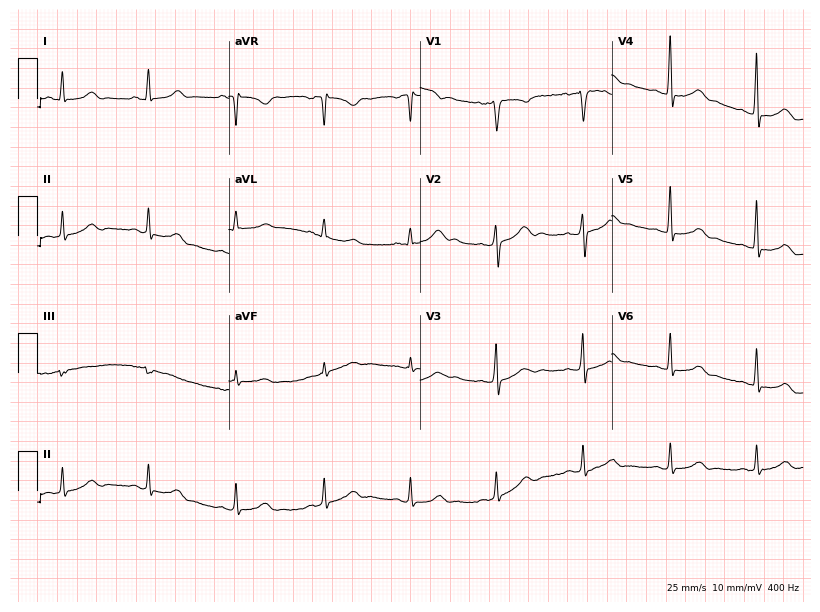
Resting 12-lead electrocardiogram. Patient: a female, 37 years old. Read as a normal ECG.